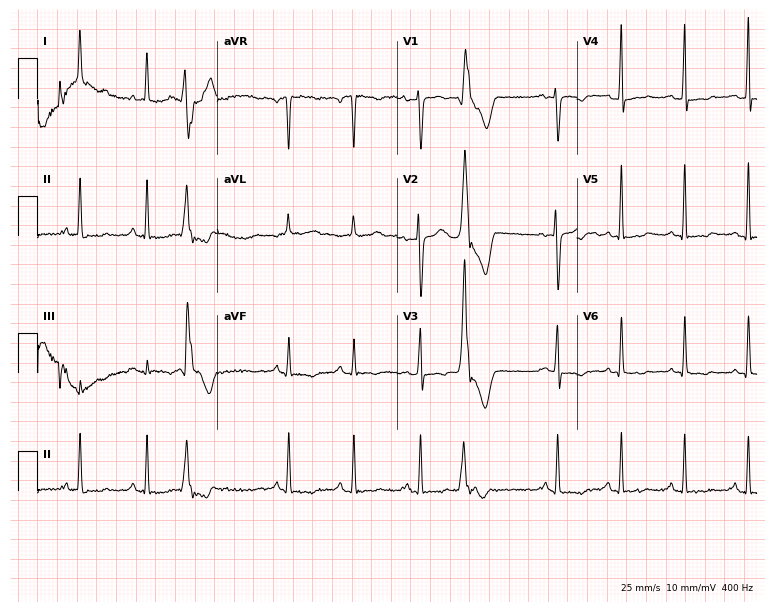
12-lead ECG (7.3-second recording at 400 Hz) from a 32-year-old female patient. Screened for six findings — first-degree AV block, right bundle branch block (RBBB), left bundle branch block (LBBB), sinus bradycardia, atrial fibrillation (AF), sinus tachycardia — none is recorded.